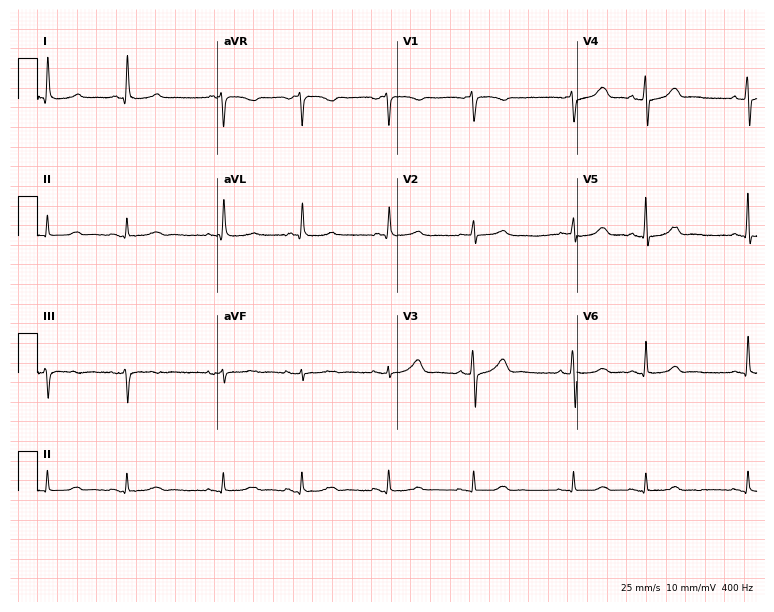
ECG — a female, 68 years old. Screened for six findings — first-degree AV block, right bundle branch block (RBBB), left bundle branch block (LBBB), sinus bradycardia, atrial fibrillation (AF), sinus tachycardia — none is recorded.